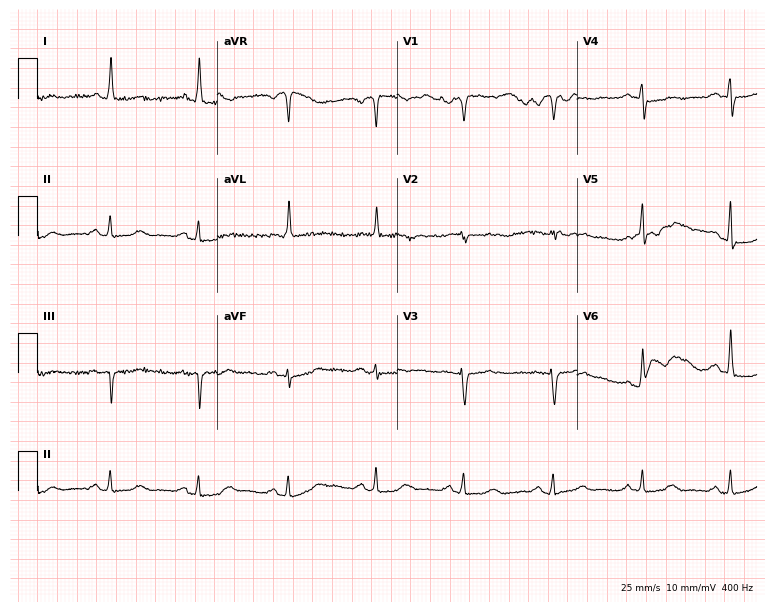
ECG — a female patient, 69 years old. Screened for six findings — first-degree AV block, right bundle branch block (RBBB), left bundle branch block (LBBB), sinus bradycardia, atrial fibrillation (AF), sinus tachycardia — none is recorded.